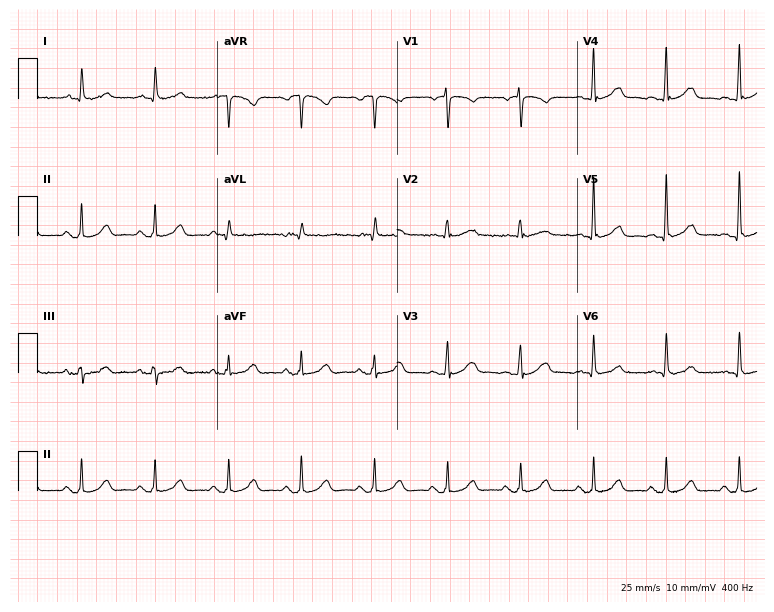
Resting 12-lead electrocardiogram (7.3-second recording at 400 Hz). Patient: a female, 88 years old. Read as a normal ECG.